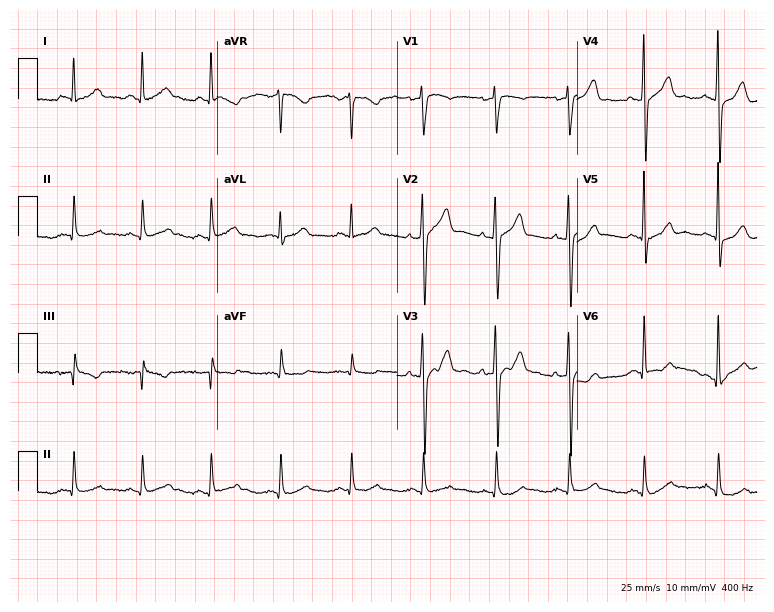
12-lead ECG (7.3-second recording at 400 Hz) from a male, 61 years old. Labelled as a normal ECG.